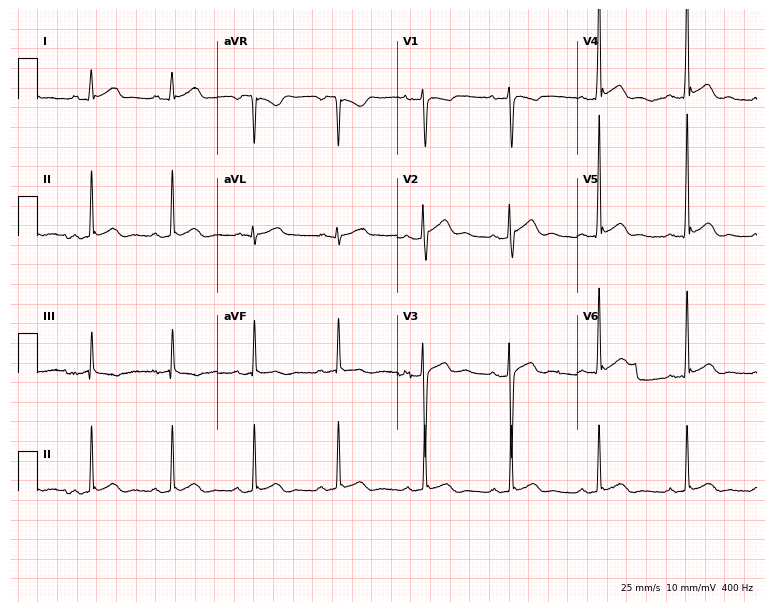
Resting 12-lead electrocardiogram (7.3-second recording at 400 Hz). Patient: a 35-year-old man. None of these six findings is recorded: first-degree AV block, right bundle branch block, left bundle branch block, sinus bradycardia, atrial fibrillation, sinus tachycardia.